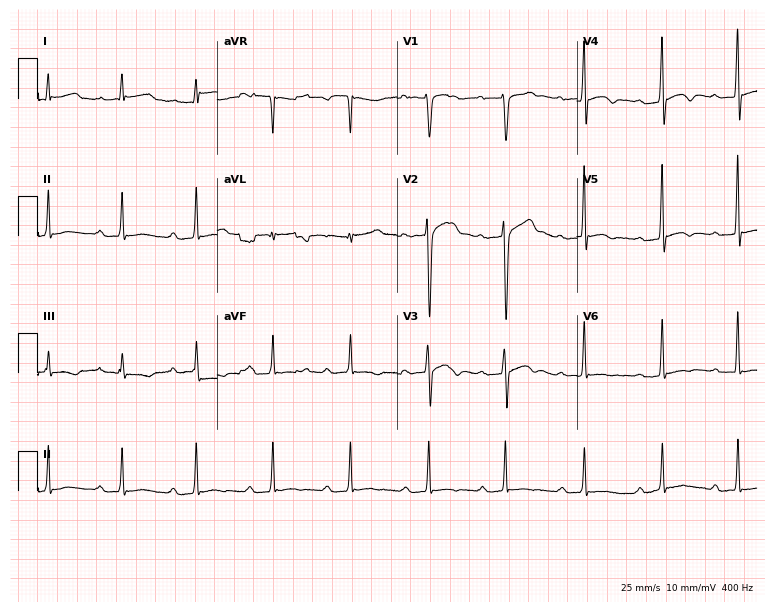
12-lead ECG from a man, 34 years old. No first-degree AV block, right bundle branch block, left bundle branch block, sinus bradycardia, atrial fibrillation or sinus tachycardia recorded for this tracing. Only these six findings were labelled.